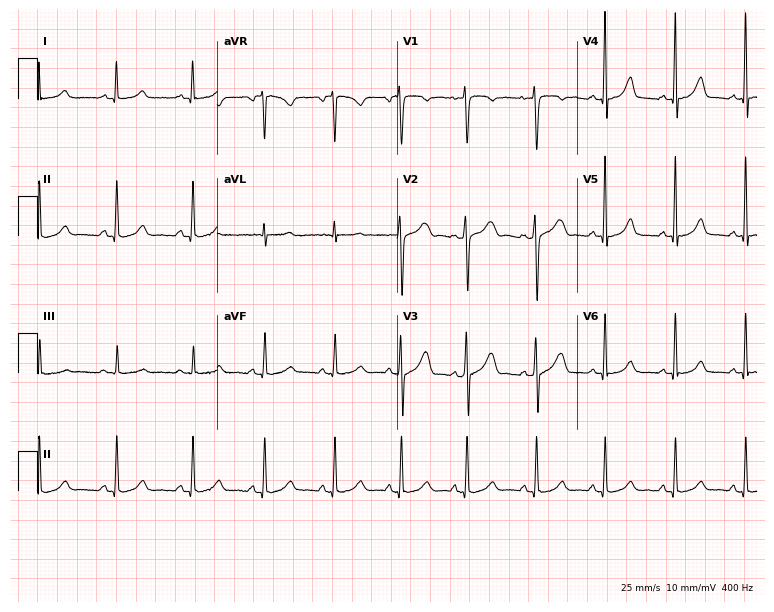
Standard 12-lead ECG recorded from a woman, 25 years old. Read as a normal ECG.